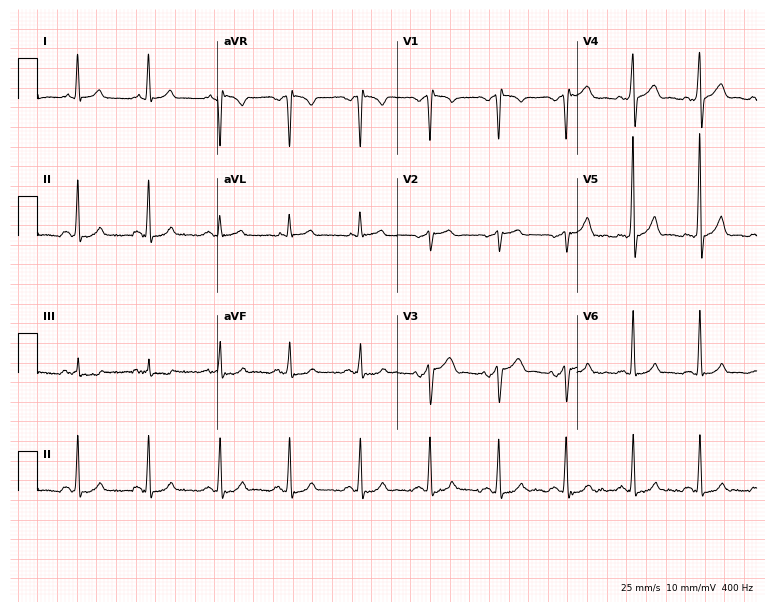
ECG — a man, 45 years old. Labelled as a normal ECG.